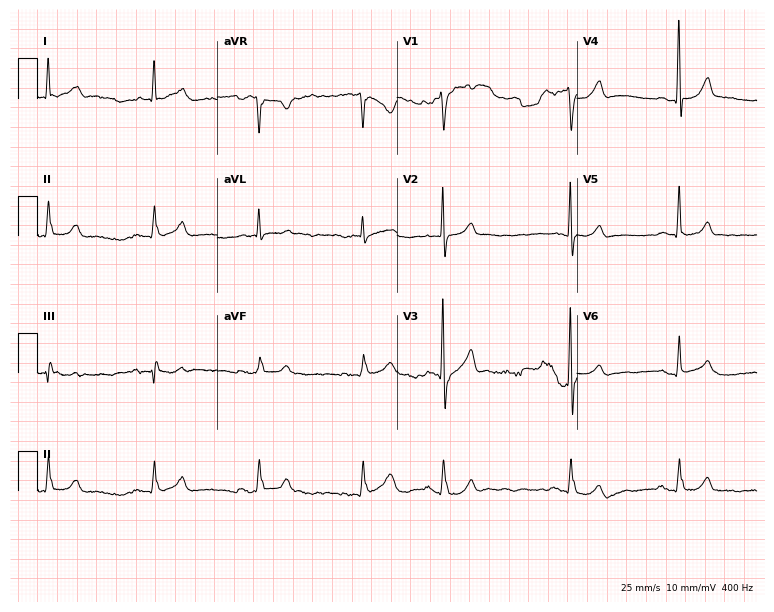
Resting 12-lead electrocardiogram (7.3-second recording at 400 Hz). Patient: a 78-year-old male. None of these six findings is recorded: first-degree AV block, right bundle branch block (RBBB), left bundle branch block (LBBB), sinus bradycardia, atrial fibrillation (AF), sinus tachycardia. Only these six findings were labelled.